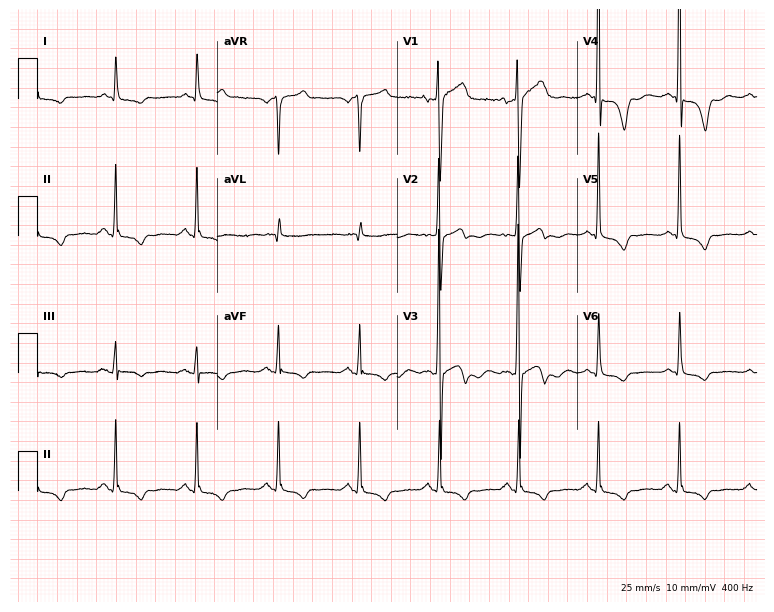
12-lead ECG from a 63-year-old man. Screened for six findings — first-degree AV block, right bundle branch block, left bundle branch block, sinus bradycardia, atrial fibrillation, sinus tachycardia — none is recorded.